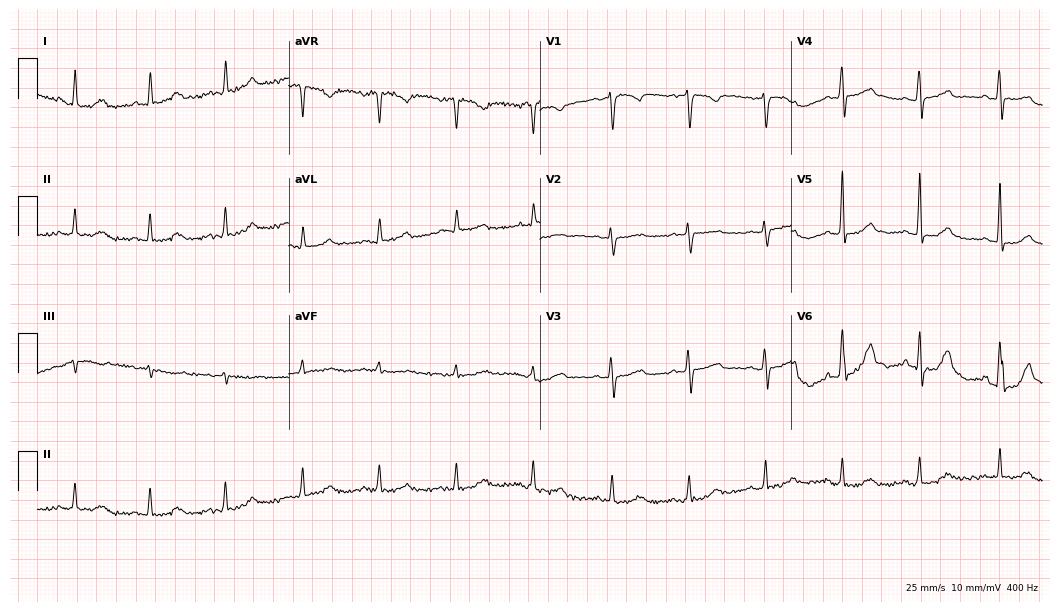
Electrocardiogram, a female, 53 years old. Overall reading on record: normal ECG.